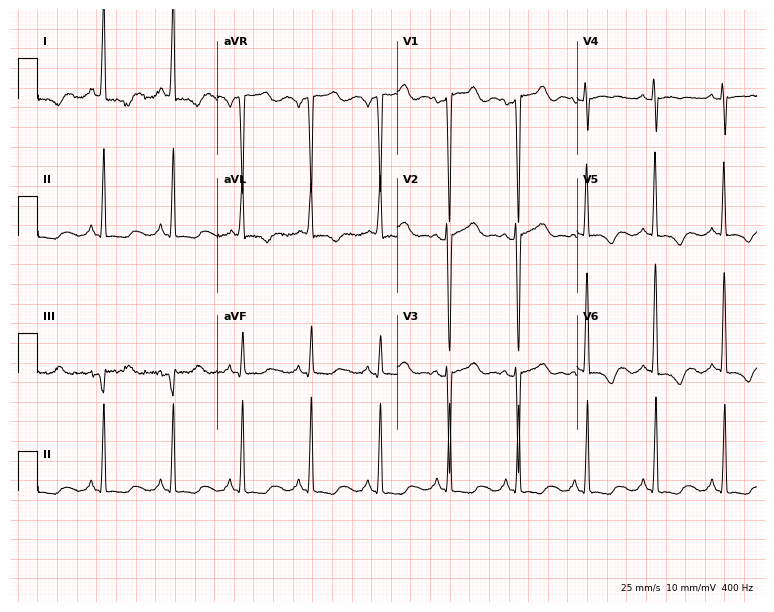
Electrocardiogram (7.3-second recording at 400 Hz), a 71-year-old female patient. Of the six screened findings (first-degree AV block, right bundle branch block, left bundle branch block, sinus bradycardia, atrial fibrillation, sinus tachycardia), none is recorded.